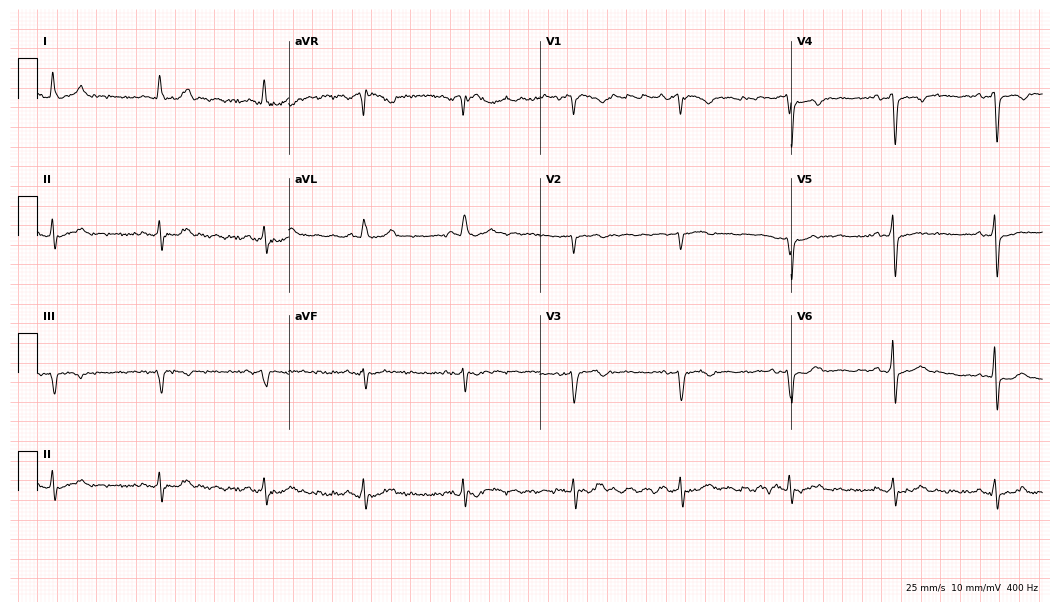
Standard 12-lead ECG recorded from a man, 77 years old. None of these six findings is recorded: first-degree AV block, right bundle branch block (RBBB), left bundle branch block (LBBB), sinus bradycardia, atrial fibrillation (AF), sinus tachycardia.